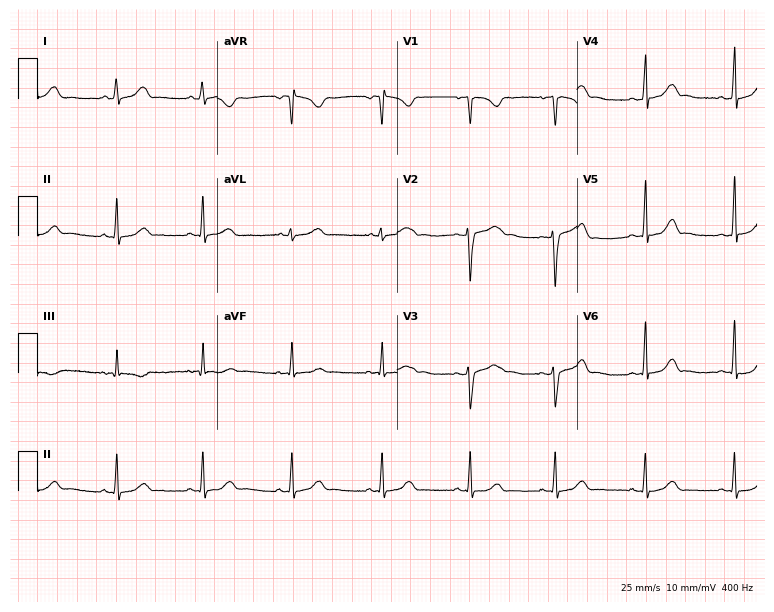
12-lead ECG from an 18-year-old woman (7.3-second recording at 400 Hz). Recorded interpretation: within normal limits.